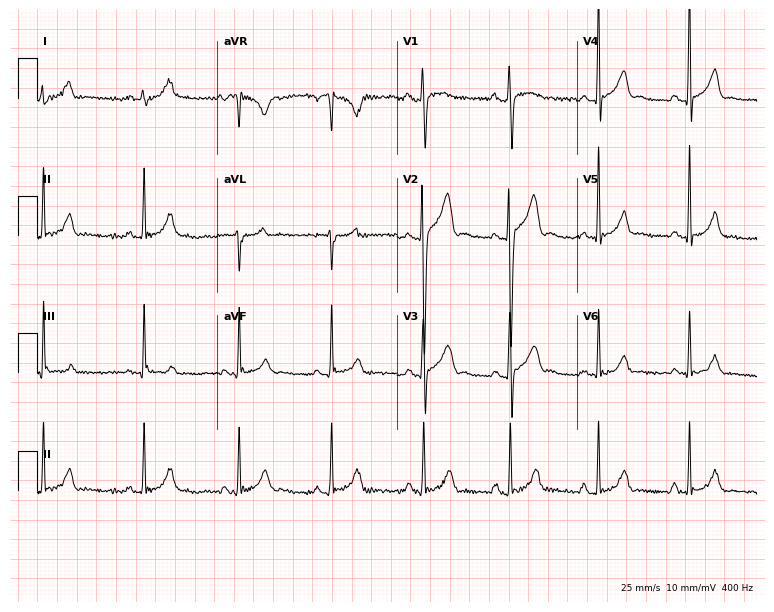
Electrocardiogram, a 21-year-old man. Of the six screened findings (first-degree AV block, right bundle branch block, left bundle branch block, sinus bradycardia, atrial fibrillation, sinus tachycardia), none is recorded. Other findings, if any, are not listed.